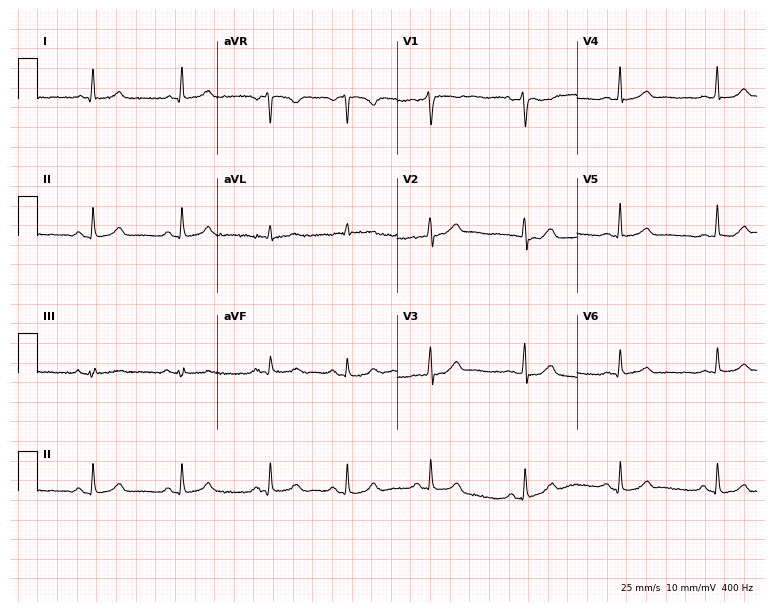
ECG — a 44-year-old male patient. Screened for six findings — first-degree AV block, right bundle branch block, left bundle branch block, sinus bradycardia, atrial fibrillation, sinus tachycardia — none is recorded. Only these six findings were labelled.